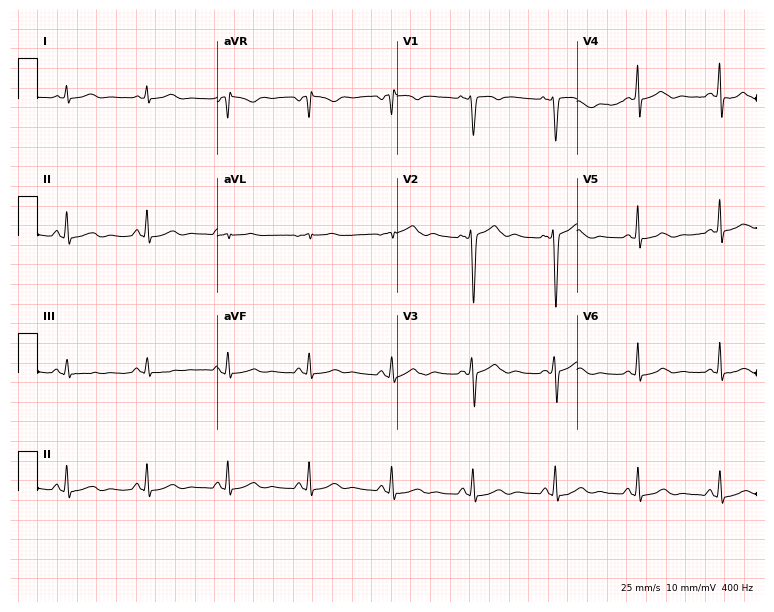
ECG (7.3-second recording at 400 Hz) — a woman, 46 years old. Screened for six findings — first-degree AV block, right bundle branch block (RBBB), left bundle branch block (LBBB), sinus bradycardia, atrial fibrillation (AF), sinus tachycardia — none is recorded.